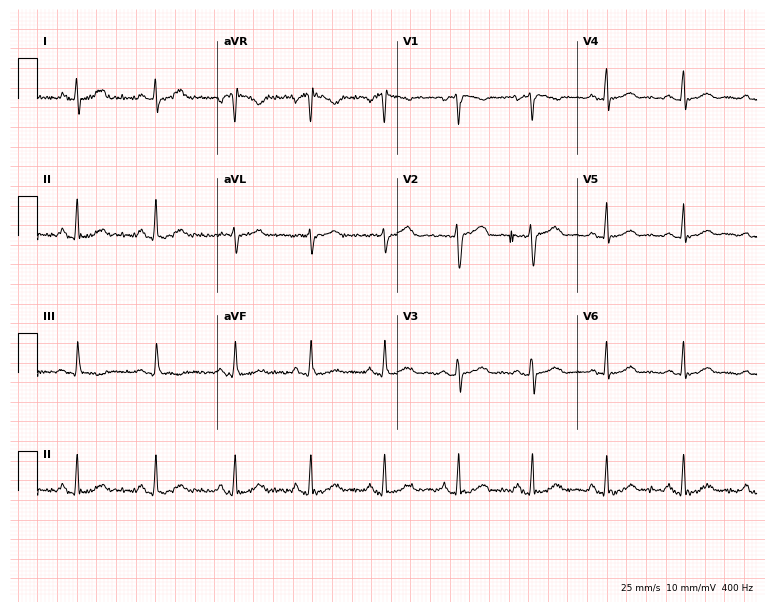
Resting 12-lead electrocardiogram (7.3-second recording at 400 Hz). Patient: a female, 33 years old. Read as a normal ECG.